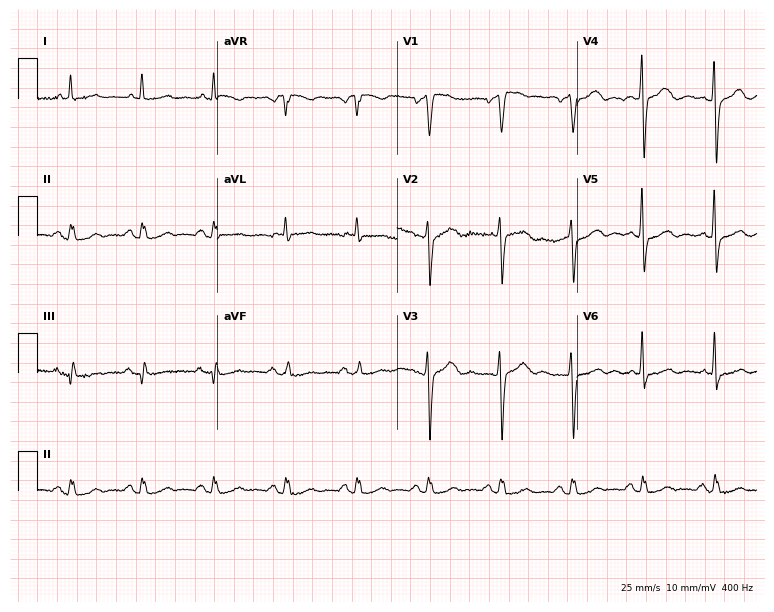
Resting 12-lead electrocardiogram (7.3-second recording at 400 Hz). Patient: a man, 69 years old. None of these six findings is recorded: first-degree AV block, right bundle branch block, left bundle branch block, sinus bradycardia, atrial fibrillation, sinus tachycardia. Only these six findings were labelled.